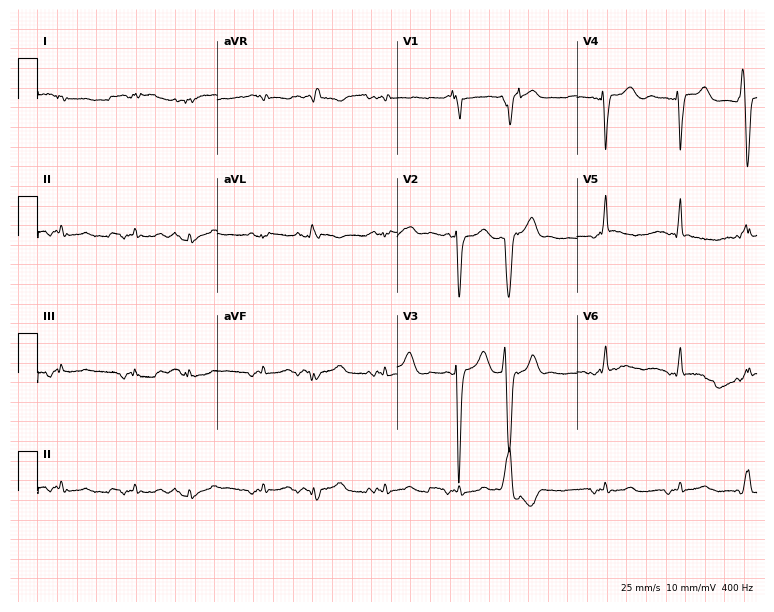
ECG — a man, 61 years old. Screened for six findings — first-degree AV block, right bundle branch block, left bundle branch block, sinus bradycardia, atrial fibrillation, sinus tachycardia — none is recorded.